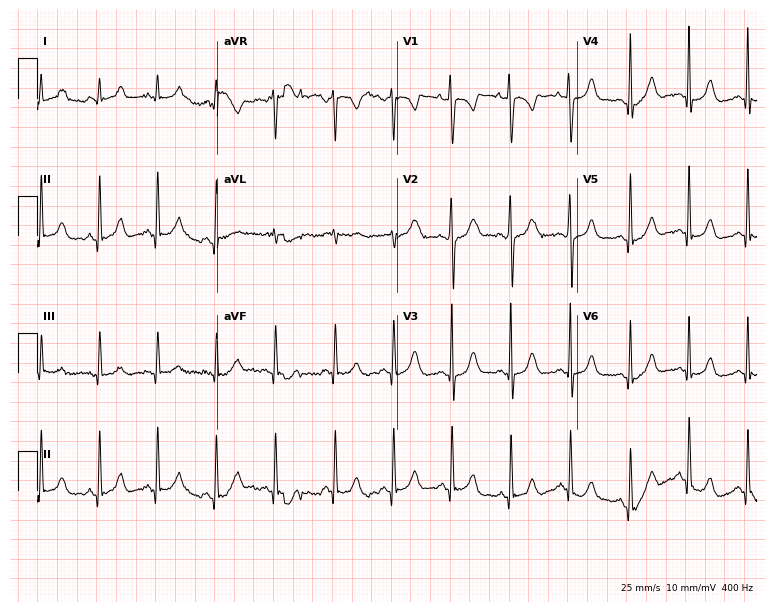
Electrocardiogram, a 24-year-old female. Interpretation includes sinus tachycardia (a sinus rate of 100 beats per minute or more).